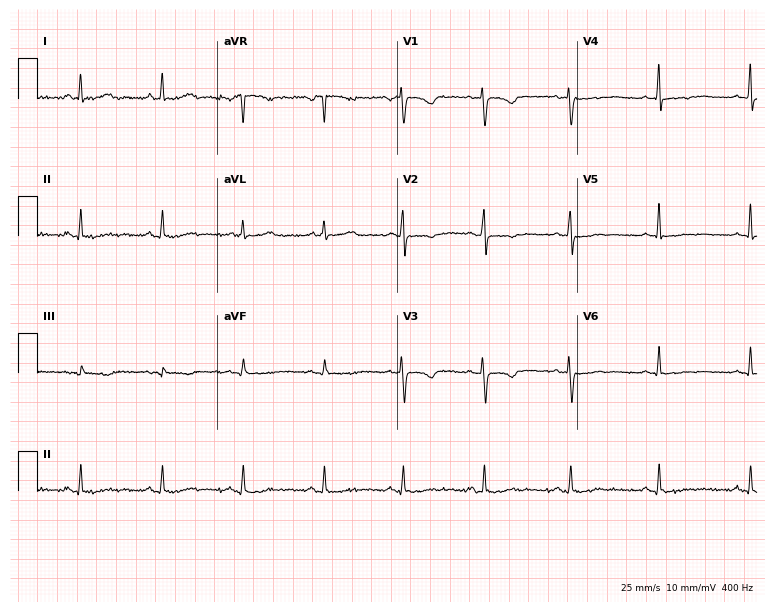
Standard 12-lead ECG recorded from a 51-year-old woman. None of these six findings is recorded: first-degree AV block, right bundle branch block (RBBB), left bundle branch block (LBBB), sinus bradycardia, atrial fibrillation (AF), sinus tachycardia.